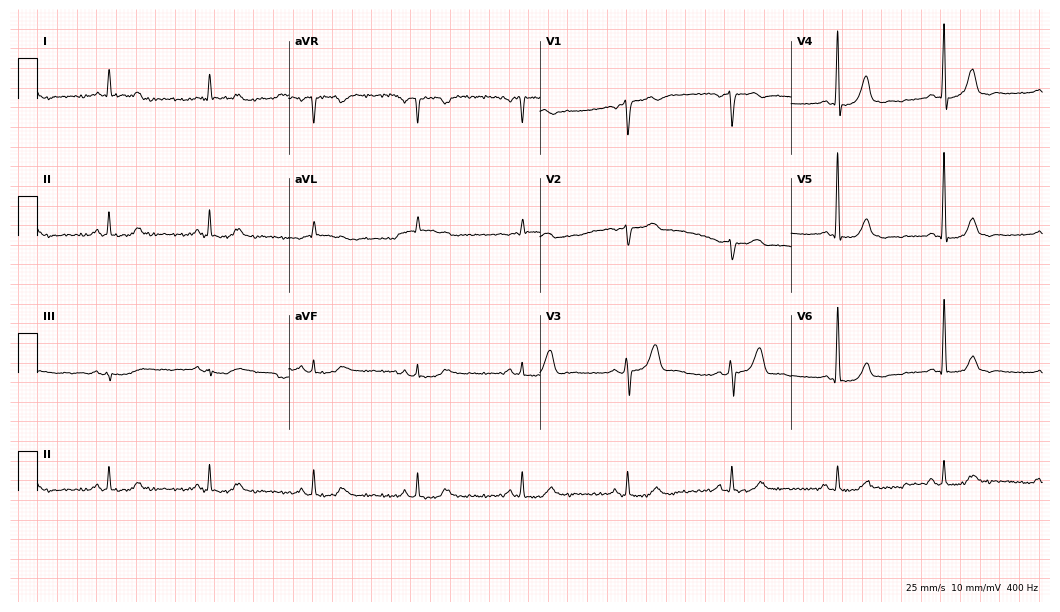
12-lead ECG from a 70-year-old male patient. Recorded interpretation: within normal limits.